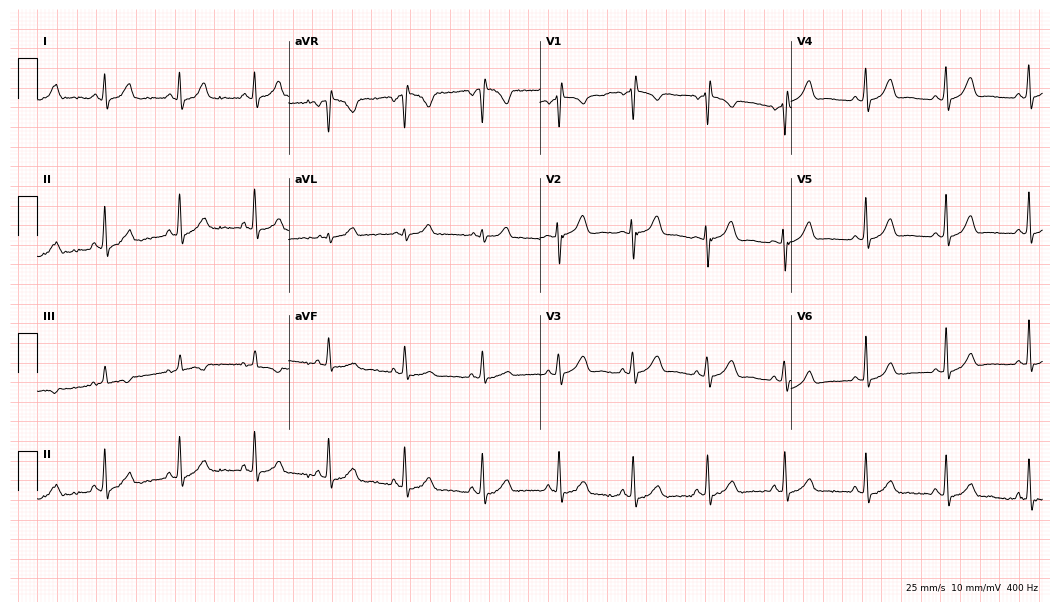
Standard 12-lead ECG recorded from a 35-year-old female (10.2-second recording at 400 Hz). Read as a normal ECG.